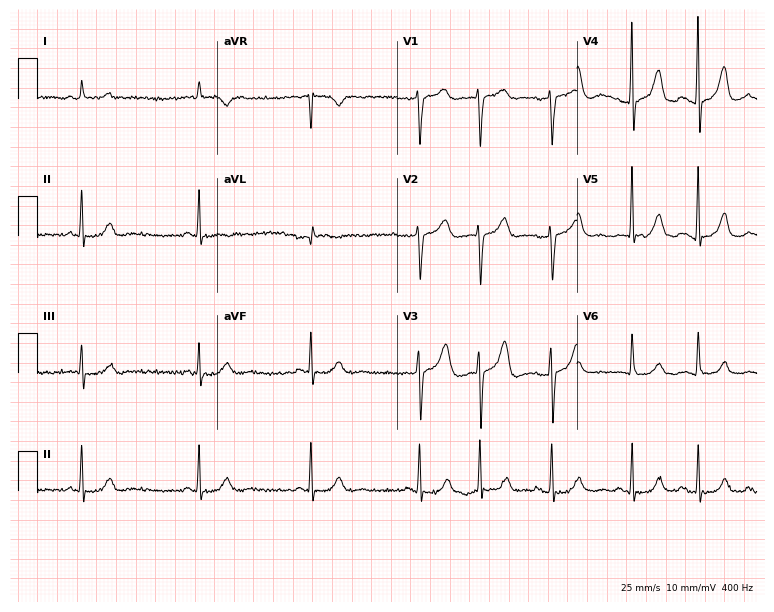
Standard 12-lead ECG recorded from a female patient, 85 years old (7.3-second recording at 400 Hz). None of these six findings is recorded: first-degree AV block, right bundle branch block, left bundle branch block, sinus bradycardia, atrial fibrillation, sinus tachycardia. Other findings, if any, are not listed.